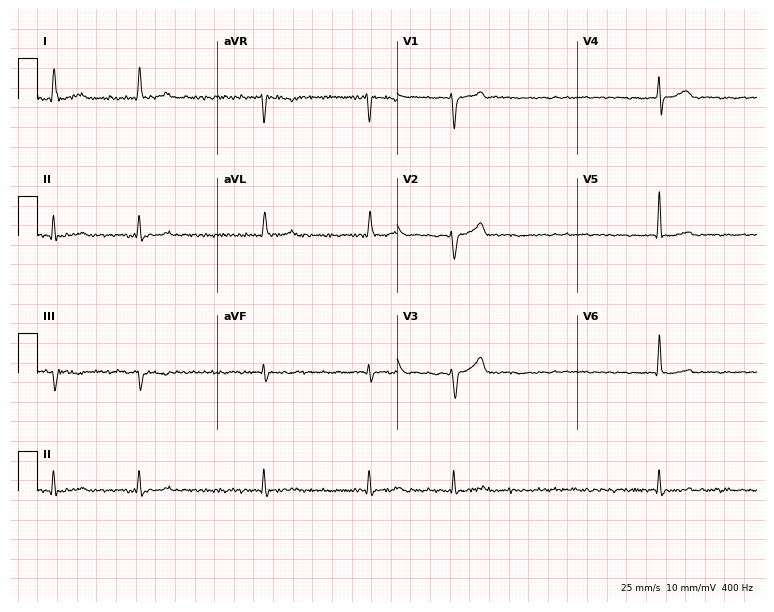
Resting 12-lead electrocardiogram. Patient: a man, 78 years old. The tracing shows atrial fibrillation (AF).